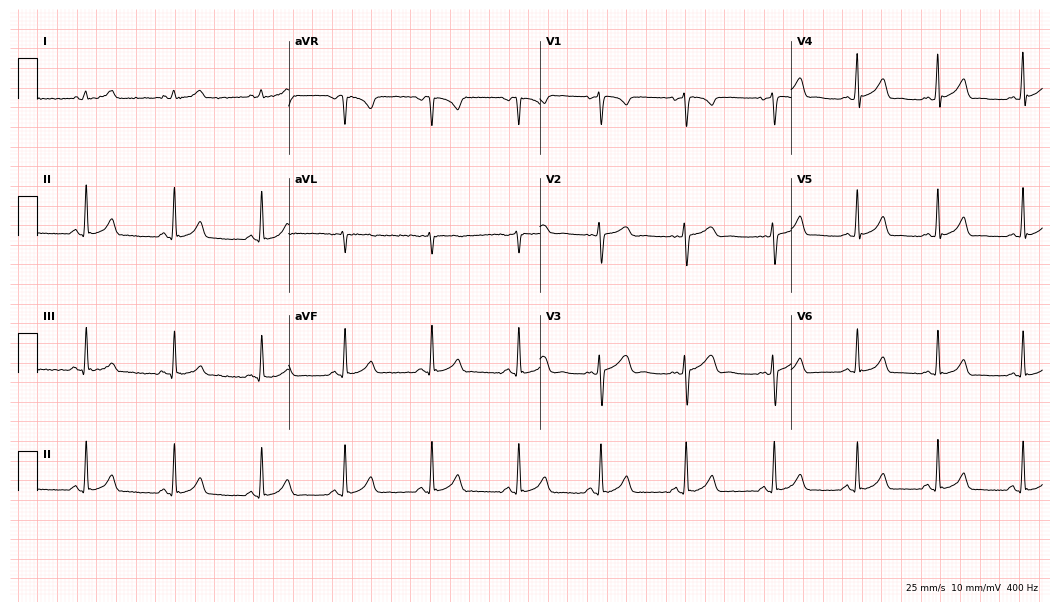
12-lead ECG from a 21-year-old female. Recorded interpretation: within normal limits.